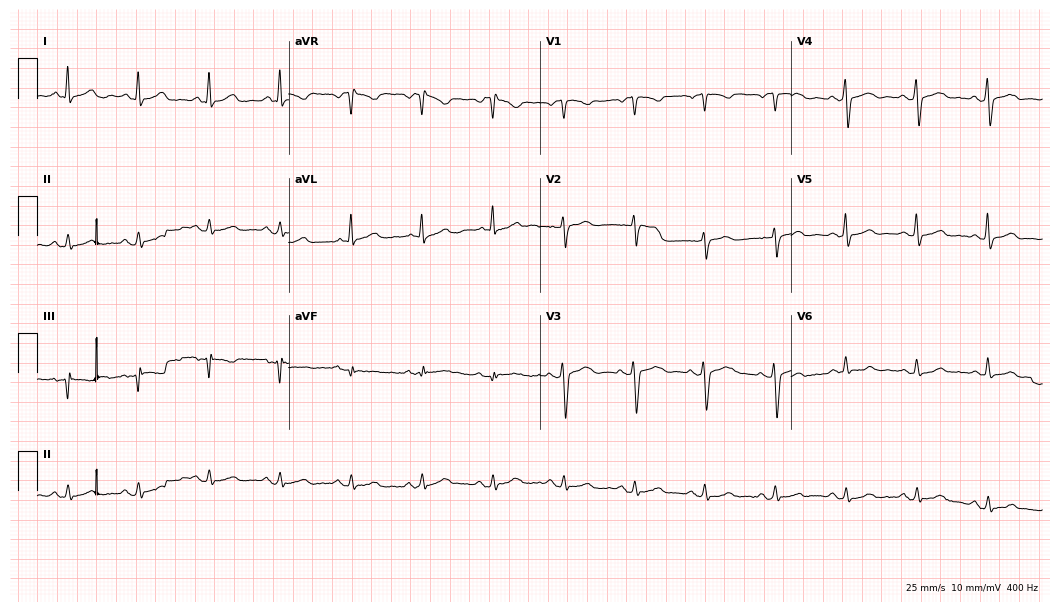
Electrocardiogram, a 51-year-old man. Of the six screened findings (first-degree AV block, right bundle branch block (RBBB), left bundle branch block (LBBB), sinus bradycardia, atrial fibrillation (AF), sinus tachycardia), none is recorded.